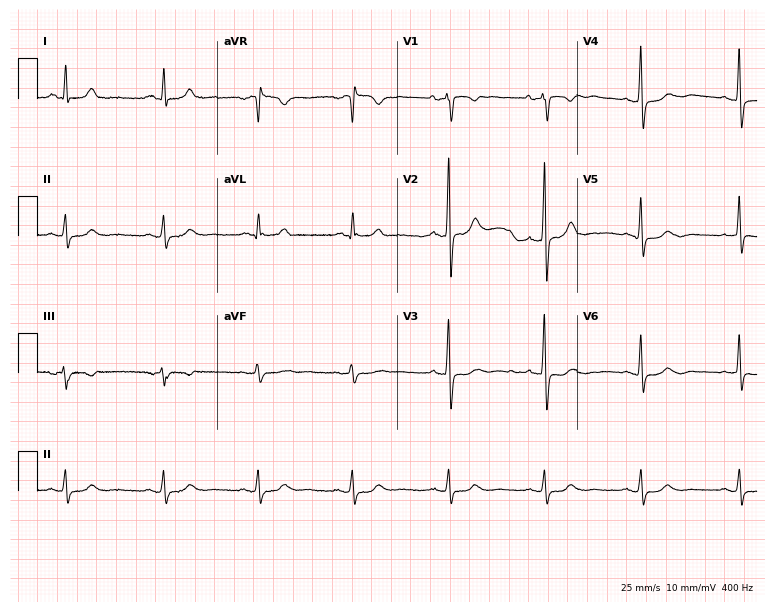
Electrocardiogram (7.3-second recording at 400 Hz), a 52-year-old man. Overall reading on record: normal ECG.